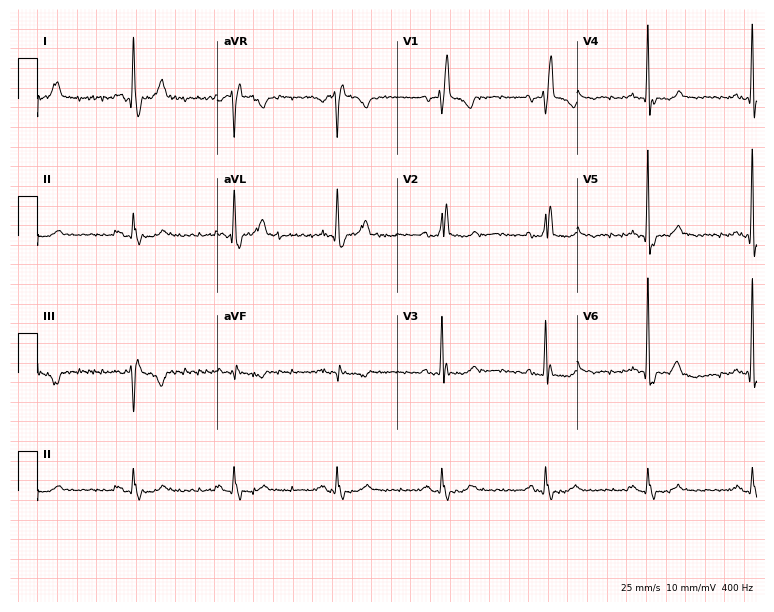
12-lead ECG from a 79-year-old male patient. Findings include right bundle branch block.